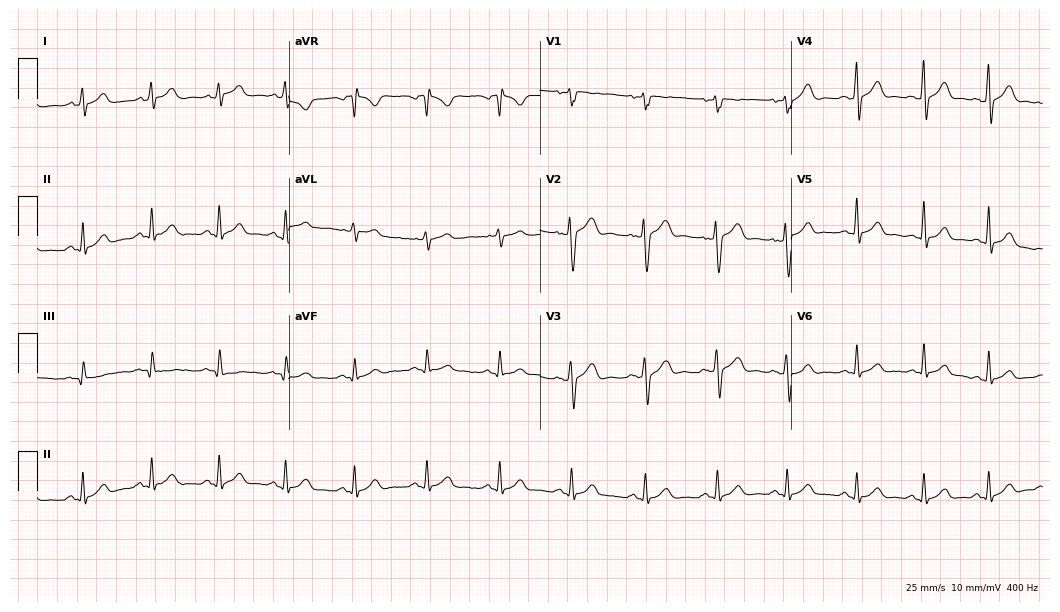
ECG (10.2-second recording at 400 Hz) — a male patient, 41 years old. Labelled as a normal ECG.